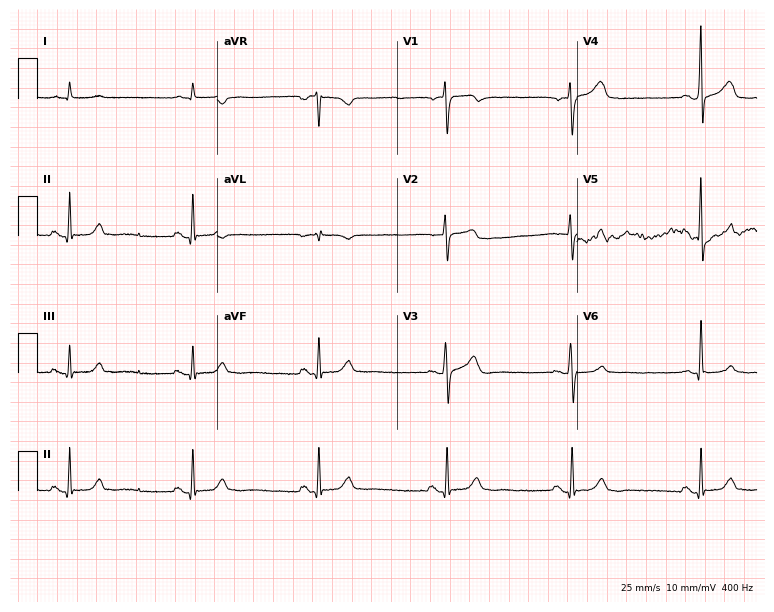
12-lead ECG from a 60-year-old male patient. Findings include sinus bradycardia (a sinus rate of 50 beats per minute or less).